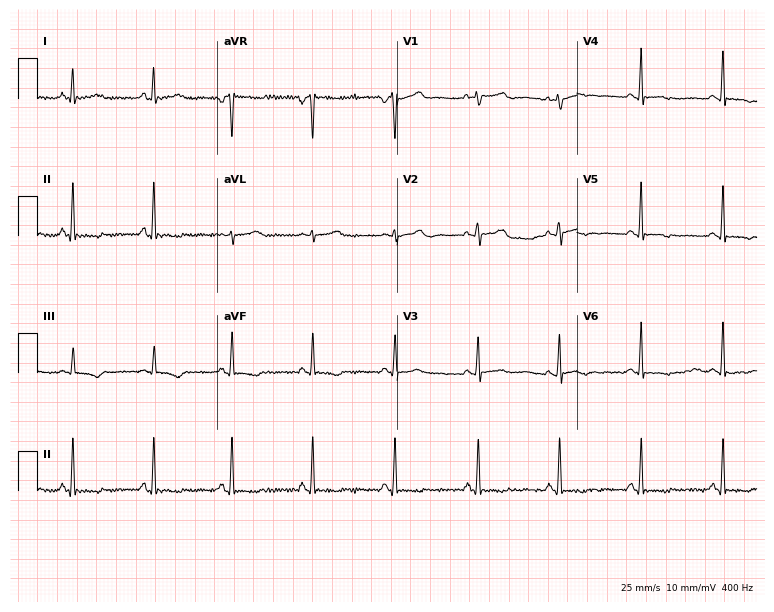
ECG — a 48-year-old female. Screened for six findings — first-degree AV block, right bundle branch block, left bundle branch block, sinus bradycardia, atrial fibrillation, sinus tachycardia — none is recorded. Other findings, if any, are not listed.